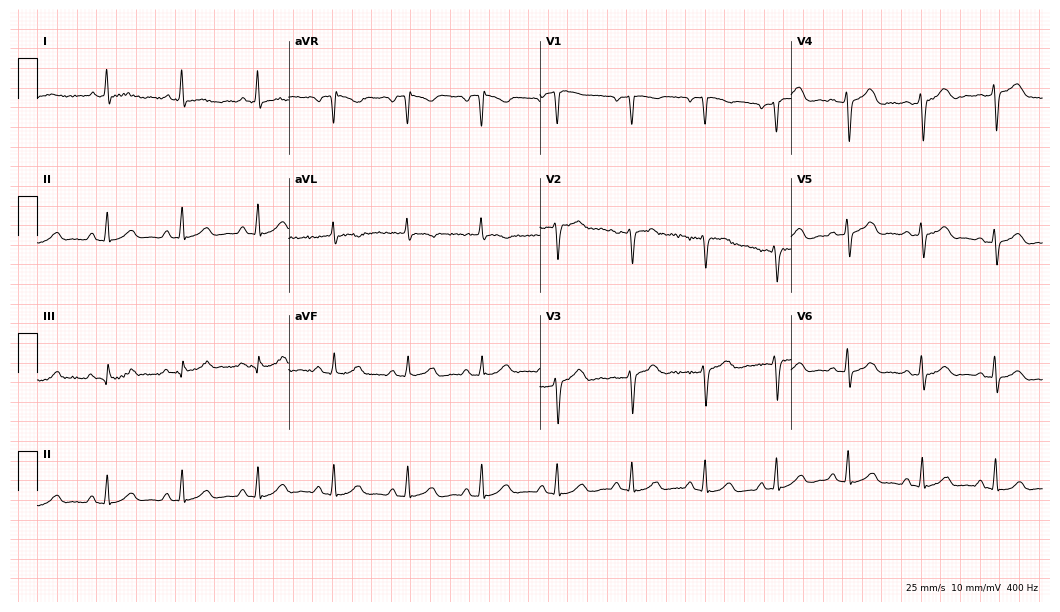
12-lead ECG from a 66-year-old woman (10.2-second recording at 400 Hz). Recorded interpretation: within normal limits.